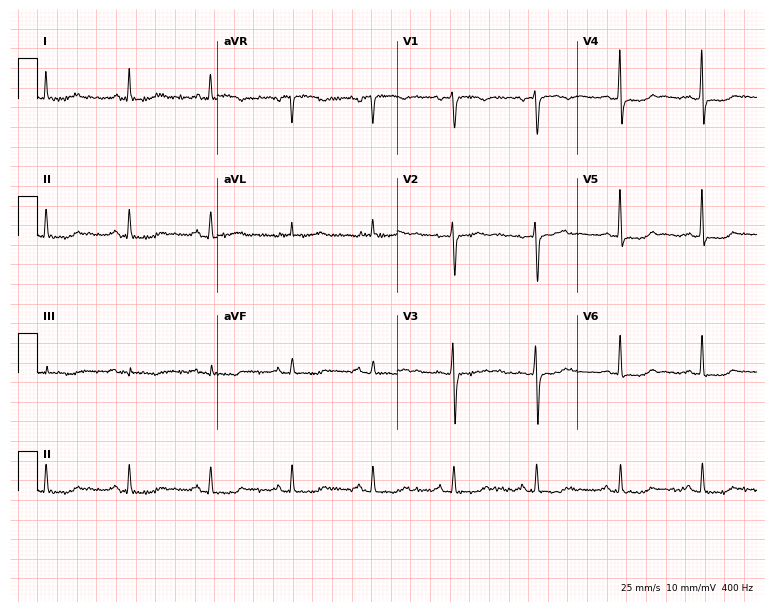
12-lead ECG from a woman, 58 years old (7.3-second recording at 400 Hz). No first-degree AV block, right bundle branch block, left bundle branch block, sinus bradycardia, atrial fibrillation or sinus tachycardia recorded for this tracing.